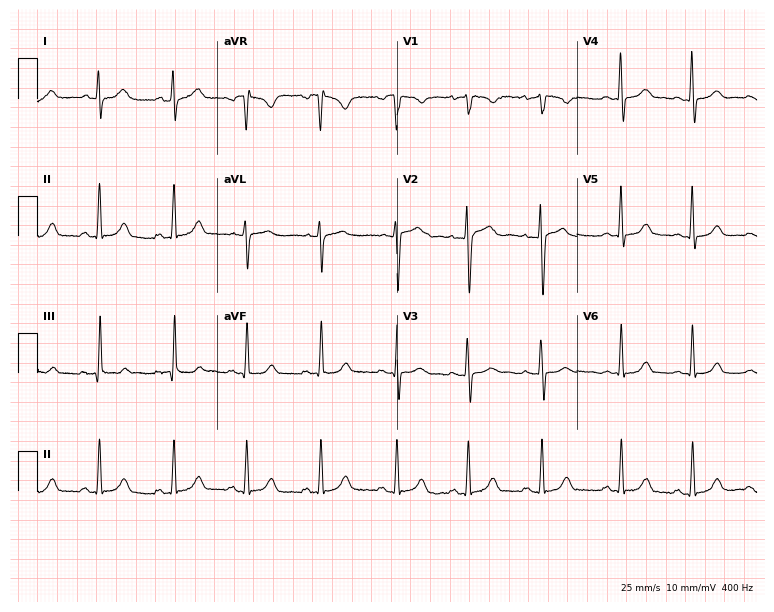
12-lead ECG (7.3-second recording at 400 Hz) from a woman, 26 years old. Labelled as a normal ECG.